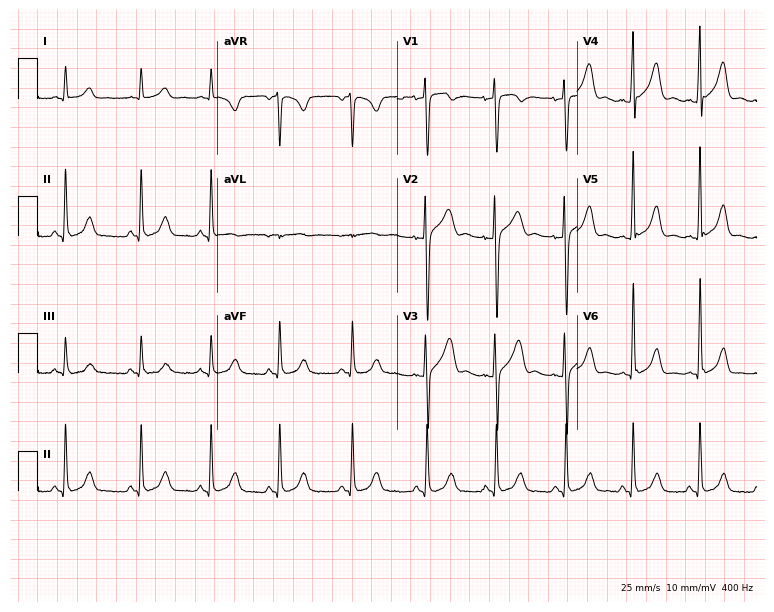
Standard 12-lead ECG recorded from a 47-year-old man. Read as a normal ECG.